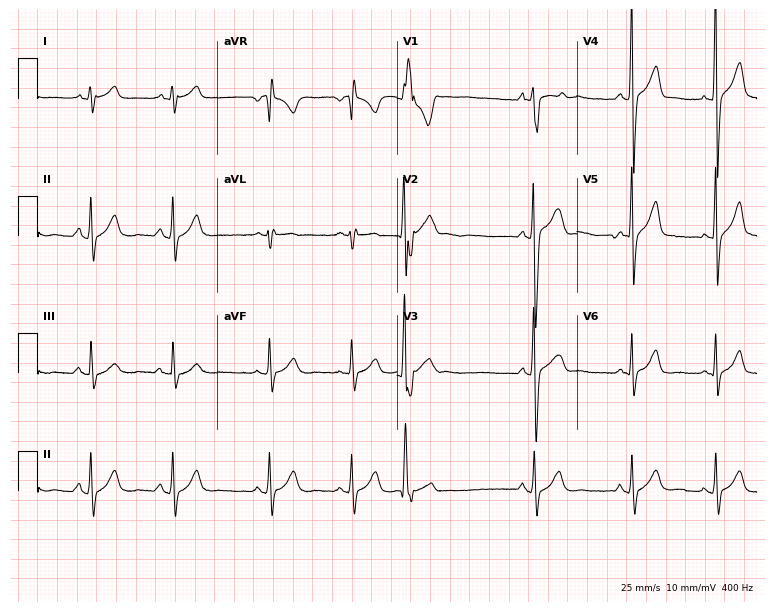
Resting 12-lead electrocardiogram. Patient: a 17-year-old man. None of these six findings is recorded: first-degree AV block, right bundle branch block, left bundle branch block, sinus bradycardia, atrial fibrillation, sinus tachycardia.